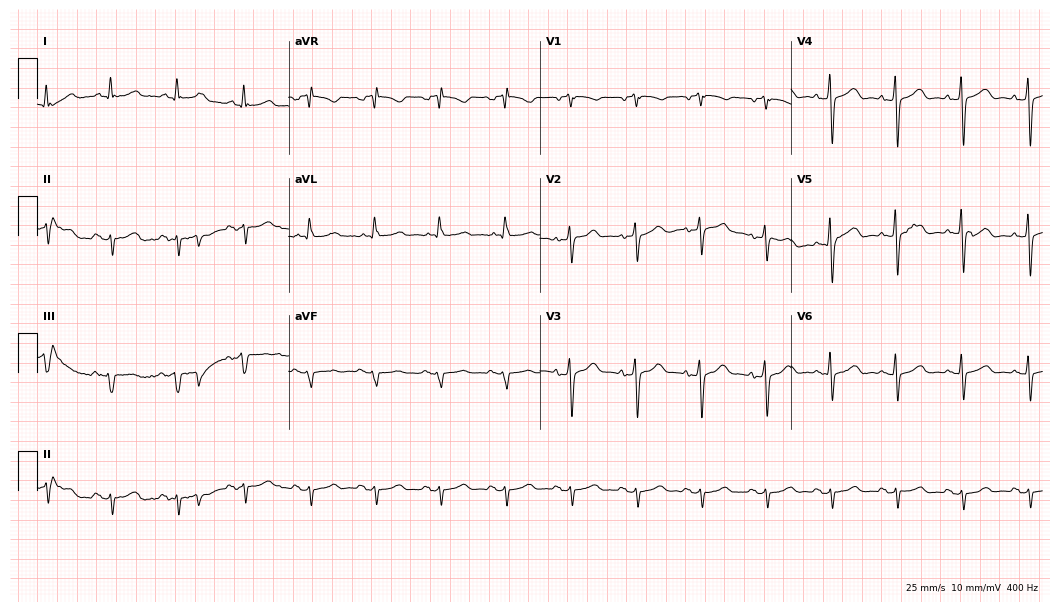
Resting 12-lead electrocardiogram. Patient: a female, 77 years old. None of these six findings is recorded: first-degree AV block, right bundle branch block, left bundle branch block, sinus bradycardia, atrial fibrillation, sinus tachycardia.